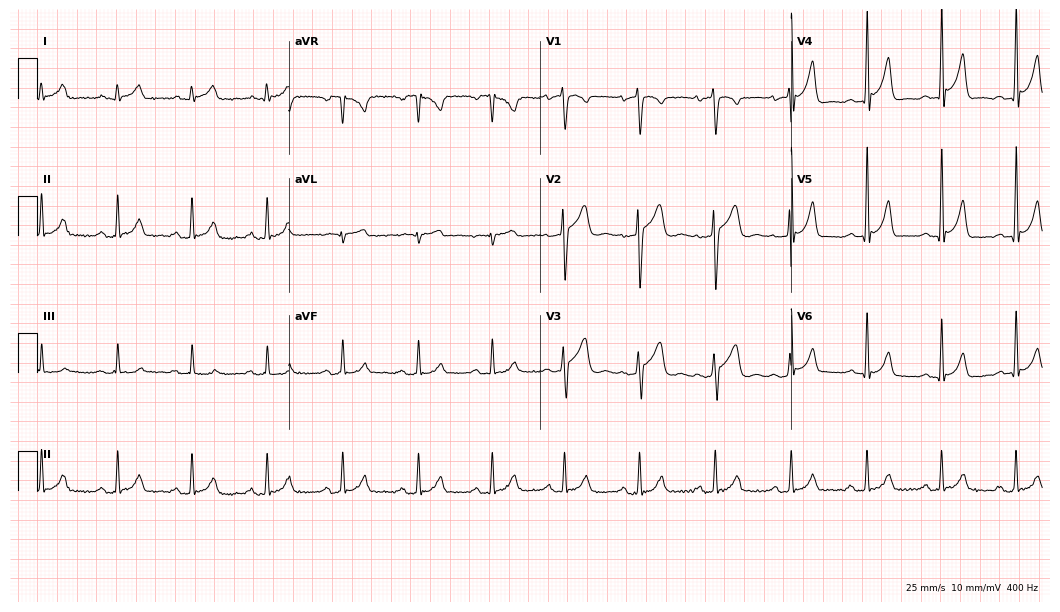
Resting 12-lead electrocardiogram (10.2-second recording at 400 Hz). Patient: a male, 22 years old. Read as a normal ECG.